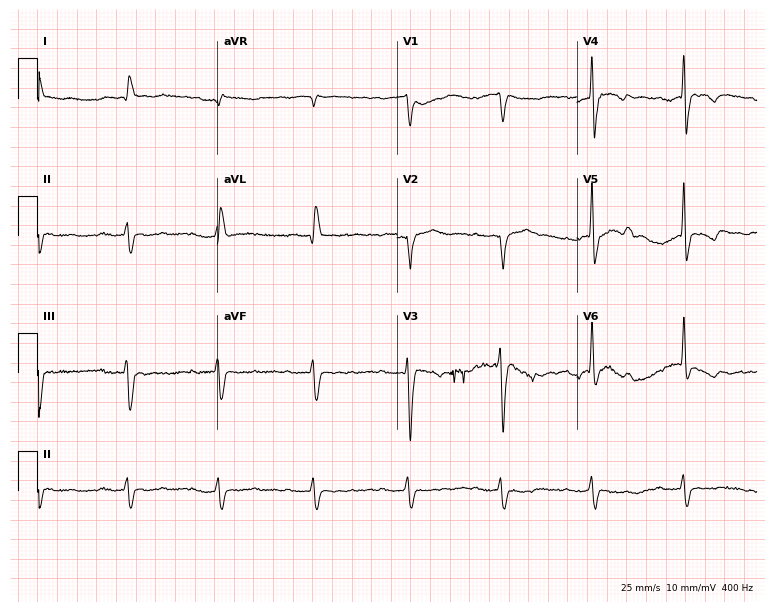
ECG (7.3-second recording at 400 Hz) — an 85-year-old man. Screened for six findings — first-degree AV block, right bundle branch block (RBBB), left bundle branch block (LBBB), sinus bradycardia, atrial fibrillation (AF), sinus tachycardia — none is recorded.